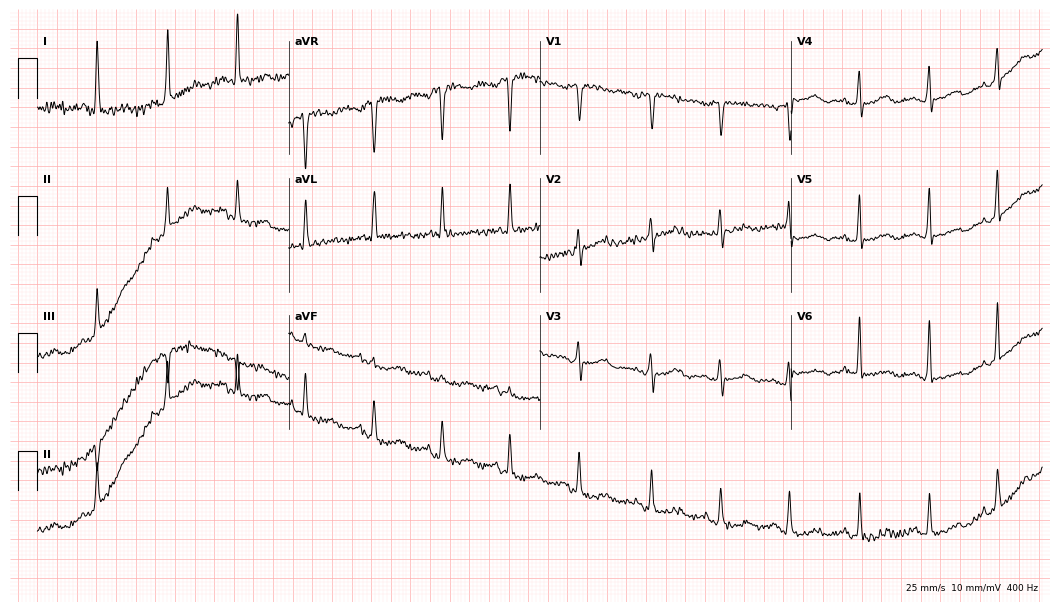
12-lead ECG from a female patient, 48 years old. No first-degree AV block, right bundle branch block (RBBB), left bundle branch block (LBBB), sinus bradycardia, atrial fibrillation (AF) or sinus tachycardia recorded for this tracing. Findings outside these six are not listed.